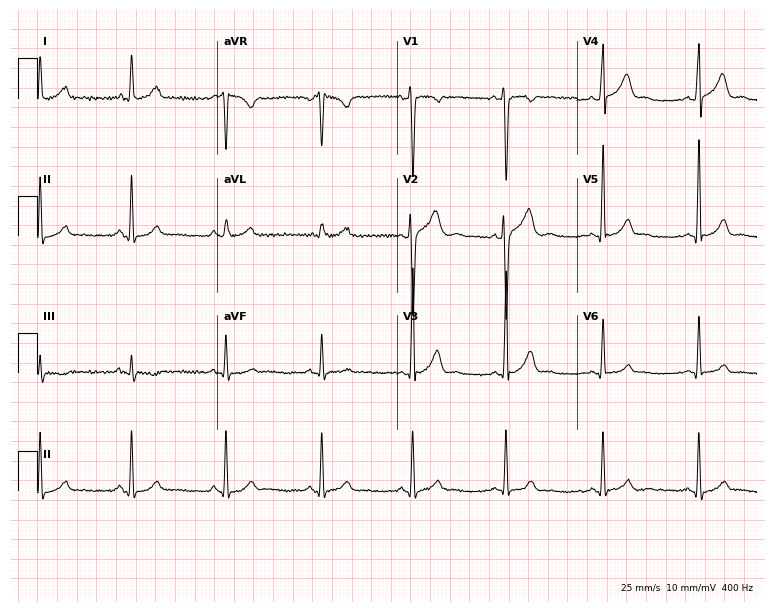
12-lead ECG from a man, 25 years old (7.3-second recording at 400 Hz). Recorded interpretation: within normal limits.